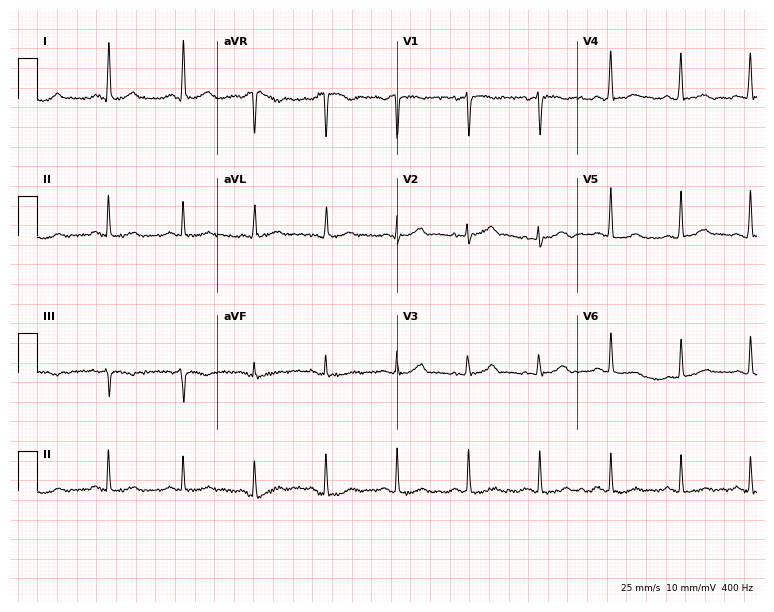
Standard 12-lead ECG recorded from a 44-year-old female (7.3-second recording at 400 Hz). None of these six findings is recorded: first-degree AV block, right bundle branch block, left bundle branch block, sinus bradycardia, atrial fibrillation, sinus tachycardia.